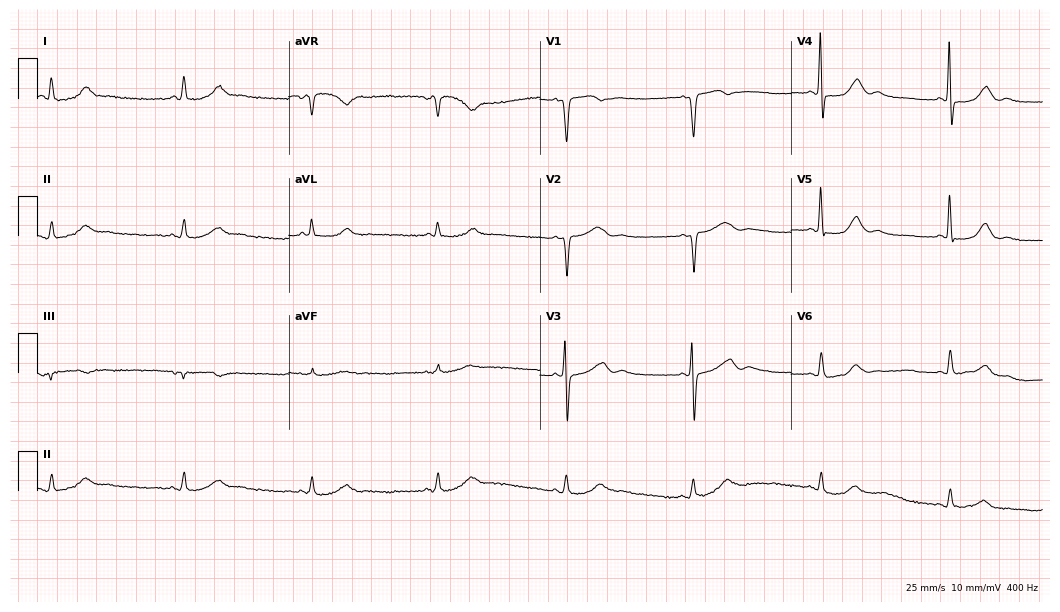
12-lead ECG from a 78-year-old woman (10.2-second recording at 400 Hz). Shows sinus bradycardia (a sinus rate of 50 beats per minute or less).